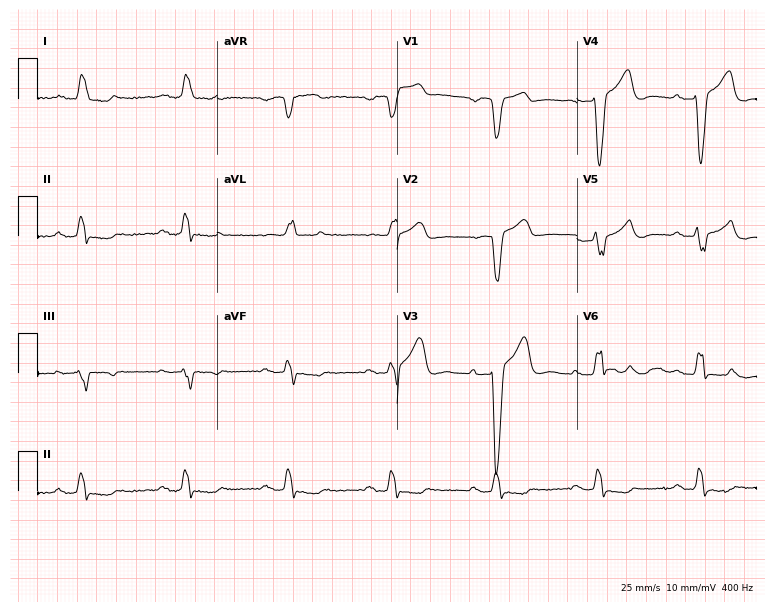
12-lead ECG (7.3-second recording at 400 Hz) from a male patient, 70 years old. Findings include left bundle branch block (LBBB).